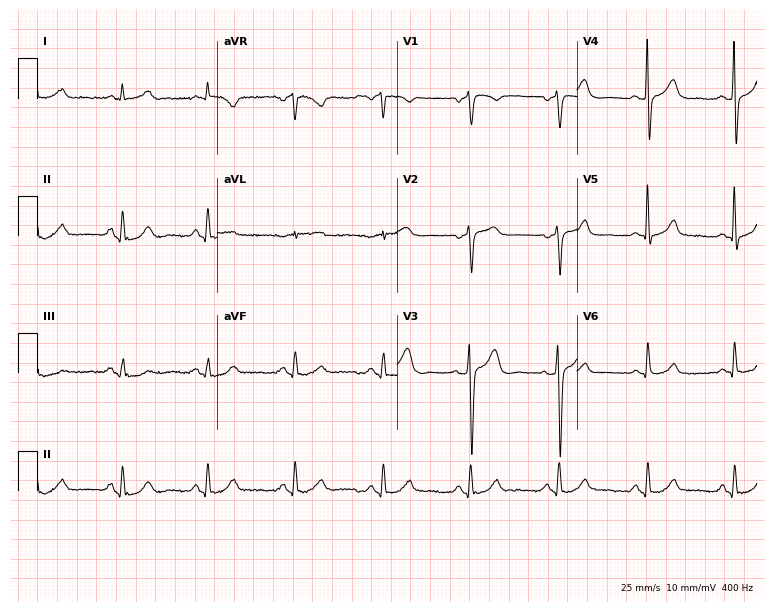
Electrocardiogram (7.3-second recording at 400 Hz), a 56-year-old male. Overall reading on record: normal ECG.